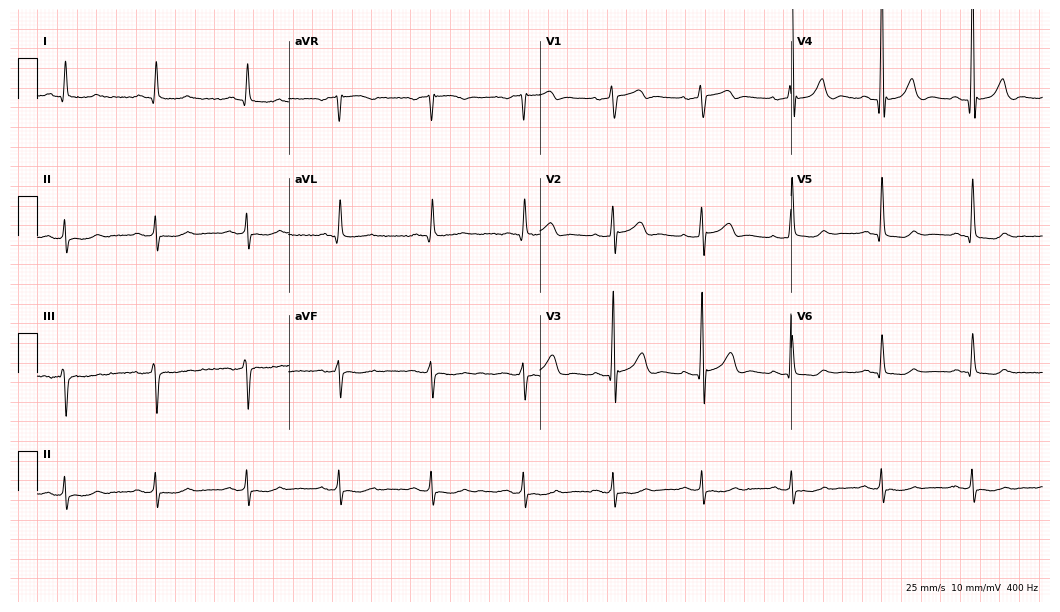
12-lead ECG from an 84-year-old man (10.2-second recording at 400 Hz). No first-degree AV block, right bundle branch block, left bundle branch block, sinus bradycardia, atrial fibrillation or sinus tachycardia recorded for this tracing.